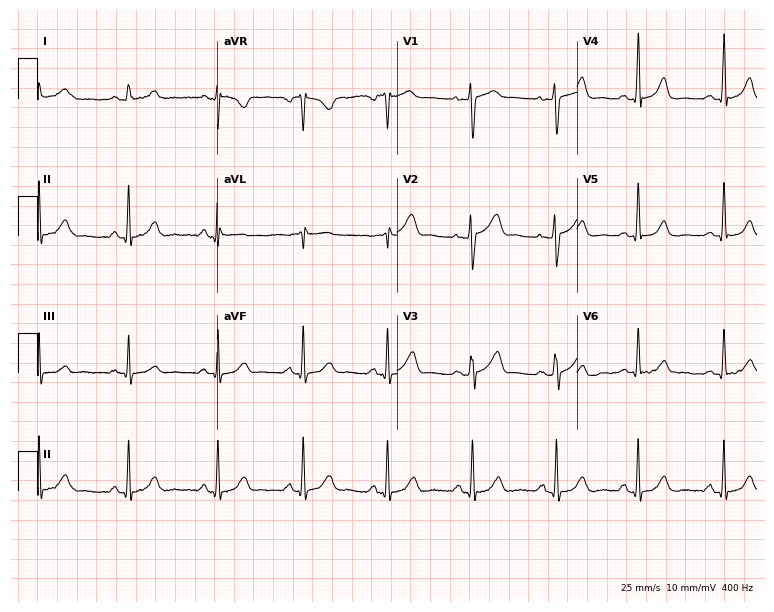
Electrocardiogram, a female, 46 years old. Of the six screened findings (first-degree AV block, right bundle branch block (RBBB), left bundle branch block (LBBB), sinus bradycardia, atrial fibrillation (AF), sinus tachycardia), none is recorded.